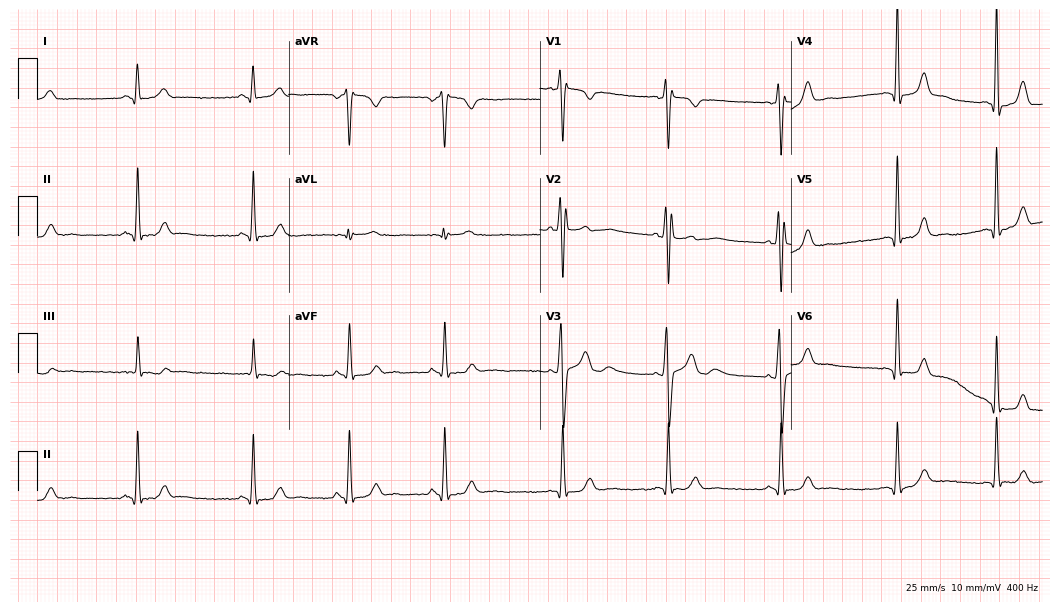
ECG (10.2-second recording at 400 Hz) — a female patient, 19 years old. Screened for six findings — first-degree AV block, right bundle branch block, left bundle branch block, sinus bradycardia, atrial fibrillation, sinus tachycardia — none is recorded.